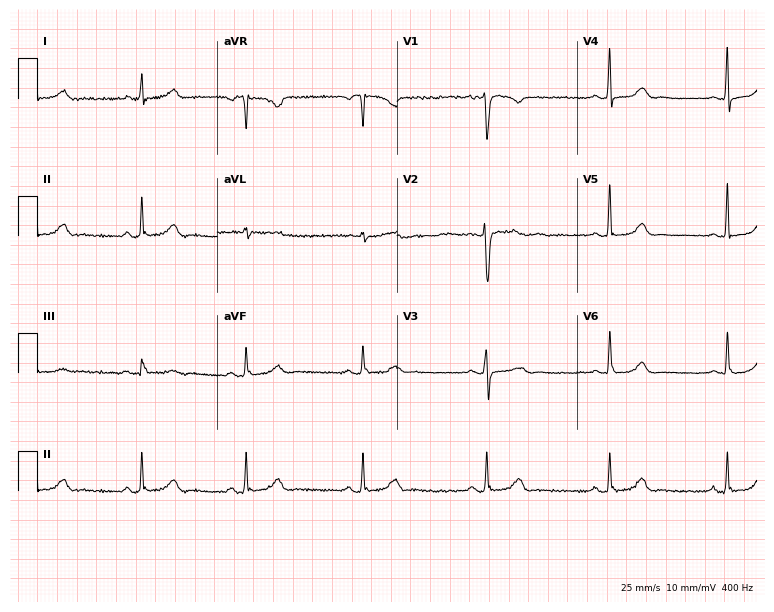
Standard 12-lead ECG recorded from a woman, 40 years old. None of these six findings is recorded: first-degree AV block, right bundle branch block (RBBB), left bundle branch block (LBBB), sinus bradycardia, atrial fibrillation (AF), sinus tachycardia.